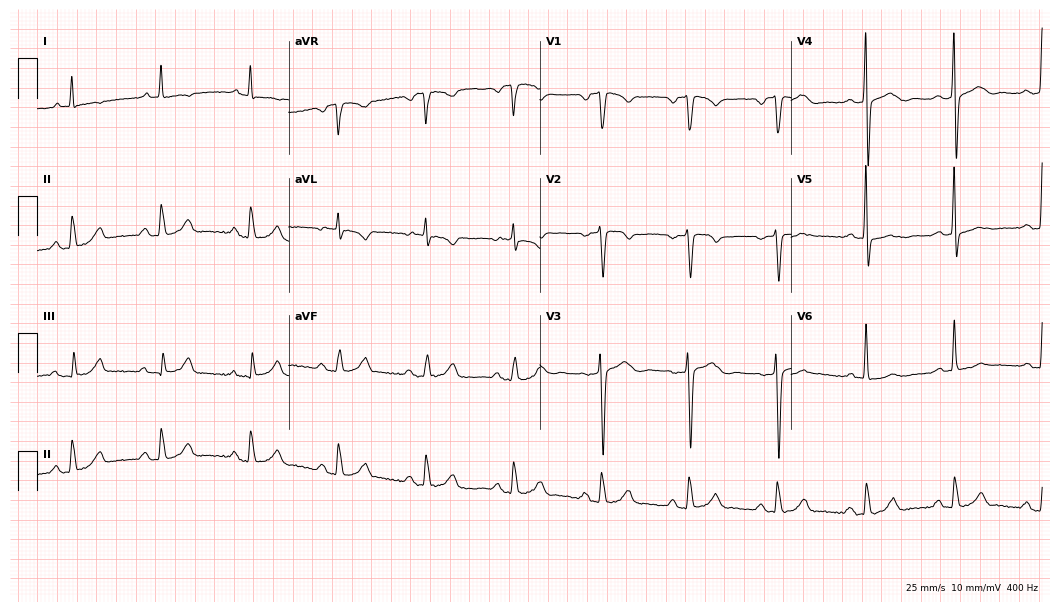
12-lead ECG from a 59-year-old male. Recorded interpretation: within normal limits.